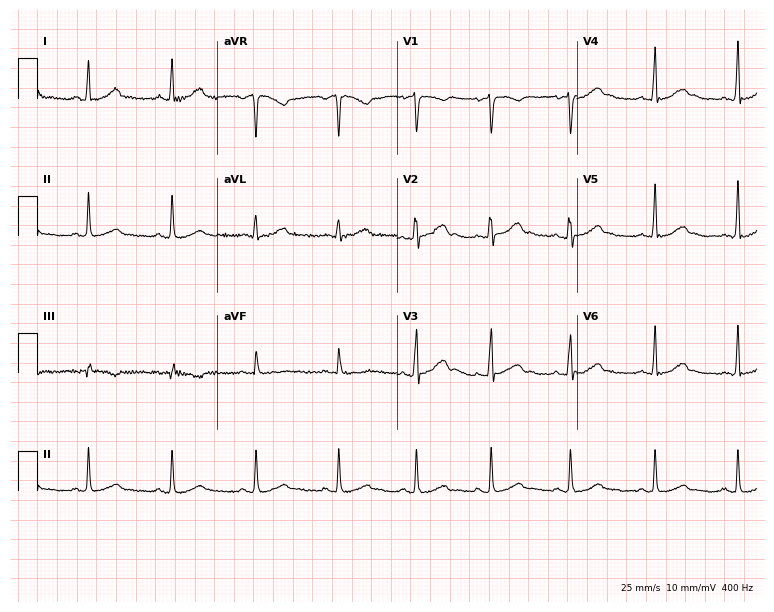
Resting 12-lead electrocardiogram. Patient: a 27-year-old female. Read as a normal ECG.